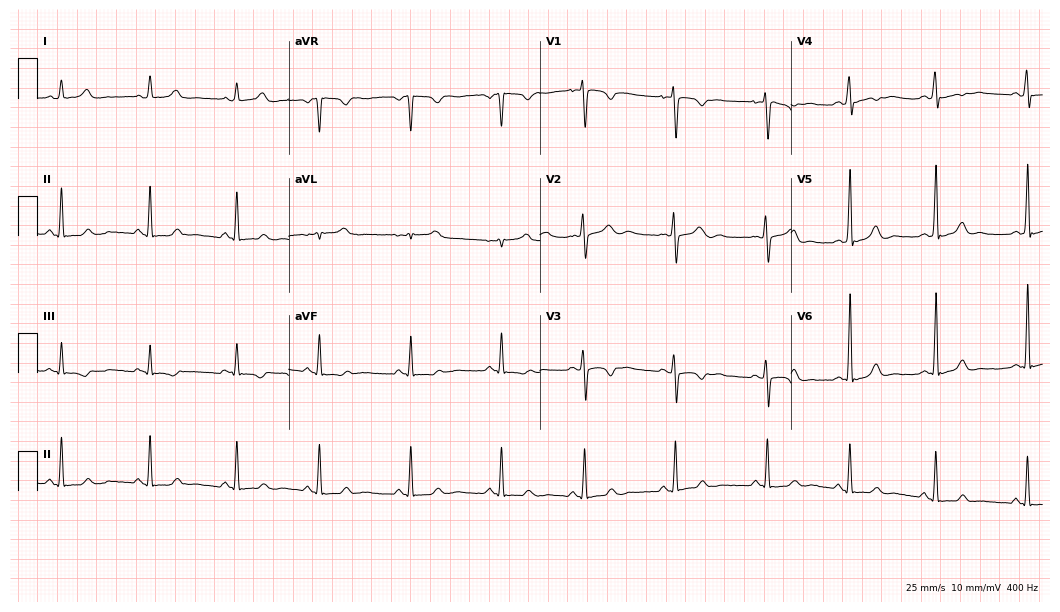
Electrocardiogram (10.2-second recording at 400 Hz), a 21-year-old female patient. Of the six screened findings (first-degree AV block, right bundle branch block, left bundle branch block, sinus bradycardia, atrial fibrillation, sinus tachycardia), none is recorded. Only these six findings were labelled.